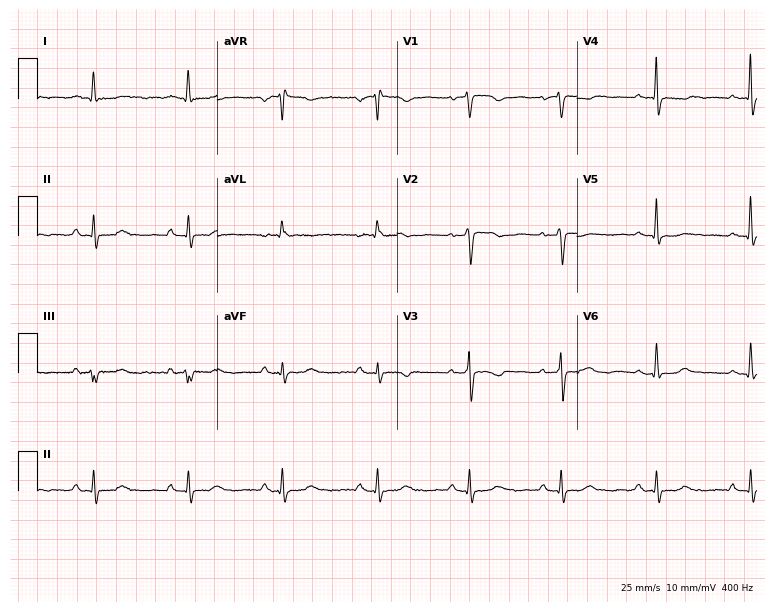
Electrocardiogram, a 68-year-old woman. Of the six screened findings (first-degree AV block, right bundle branch block, left bundle branch block, sinus bradycardia, atrial fibrillation, sinus tachycardia), none is recorded.